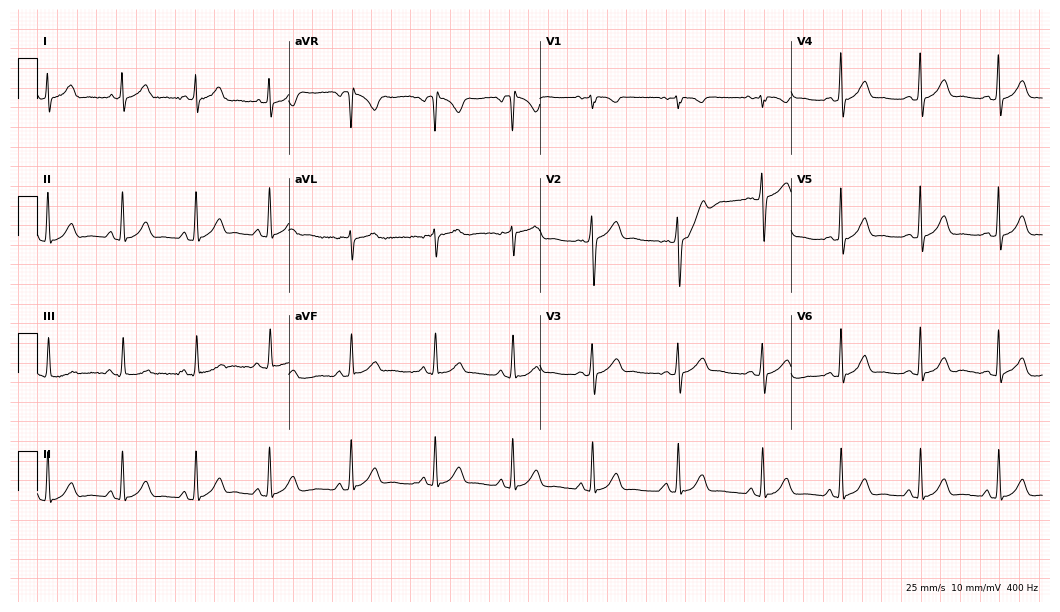
ECG — a 30-year-old female patient. Labelled as a normal ECG.